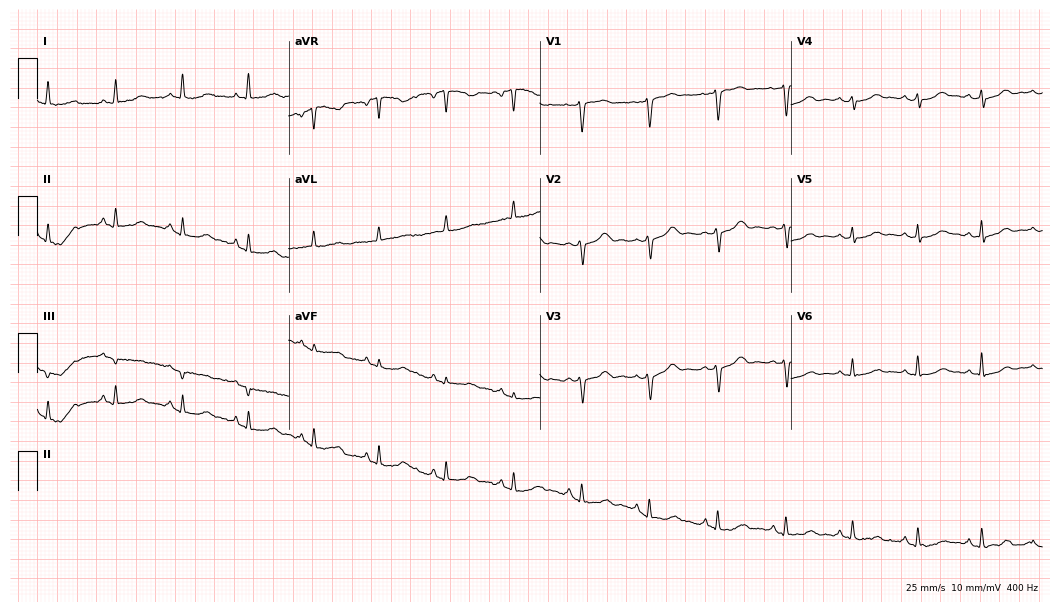
Standard 12-lead ECG recorded from a female patient, 49 years old (10.2-second recording at 400 Hz). None of these six findings is recorded: first-degree AV block, right bundle branch block, left bundle branch block, sinus bradycardia, atrial fibrillation, sinus tachycardia.